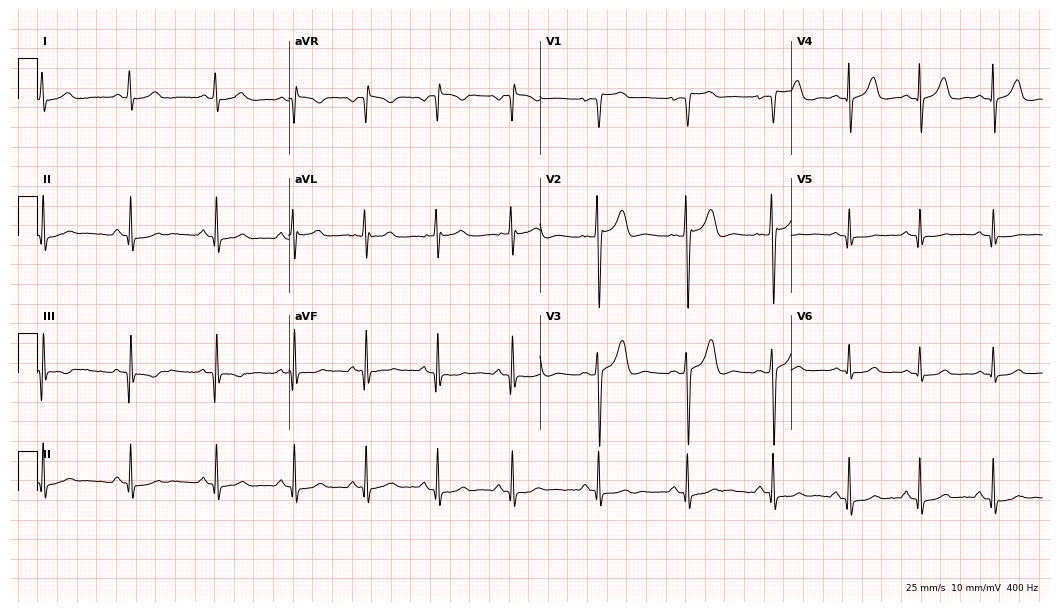
Standard 12-lead ECG recorded from a female, 19 years old (10.2-second recording at 400 Hz). None of these six findings is recorded: first-degree AV block, right bundle branch block (RBBB), left bundle branch block (LBBB), sinus bradycardia, atrial fibrillation (AF), sinus tachycardia.